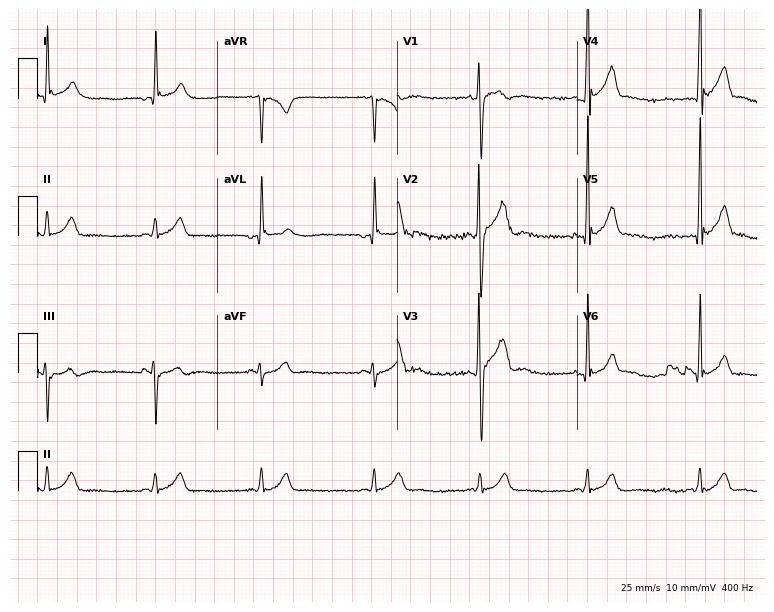
Resting 12-lead electrocardiogram. Patient: an 18-year-old male. Read as a normal ECG.